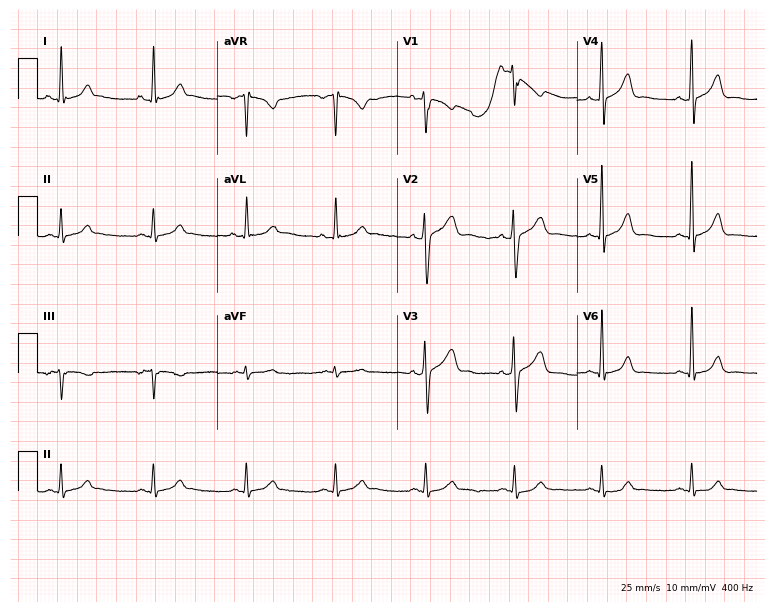
Standard 12-lead ECG recorded from a man, 38 years old (7.3-second recording at 400 Hz). None of these six findings is recorded: first-degree AV block, right bundle branch block (RBBB), left bundle branch block (LBBB), sinus bradycardia, atrial fibrillation (AF), sinus tachycardia. Findings outside these six are not listed.